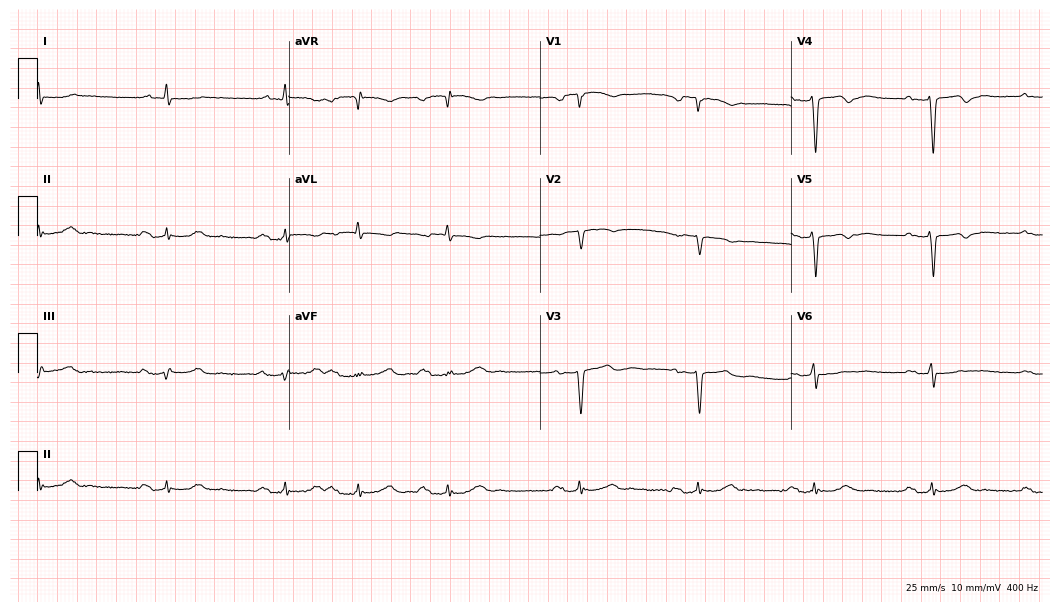
12-lead ECG from a male, 81 years old (10.2-second recording at 400 Hz). Shows first-degree AV block.